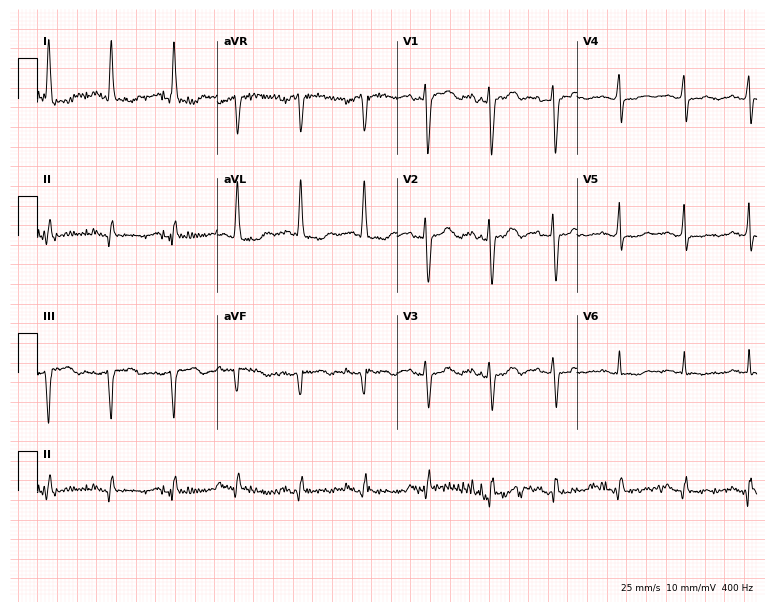
Resting 12-lead electrocardiogram (7.3-second recording at 400 Hz). Patient: a female, 57 years old. None of these six findings is recorded: first-degree AV block, right bundle branch block (RBBB), left bundle branch block (LBBB), sinus bradycardia, atrial fibrillation (AF), sinus tachycardia.